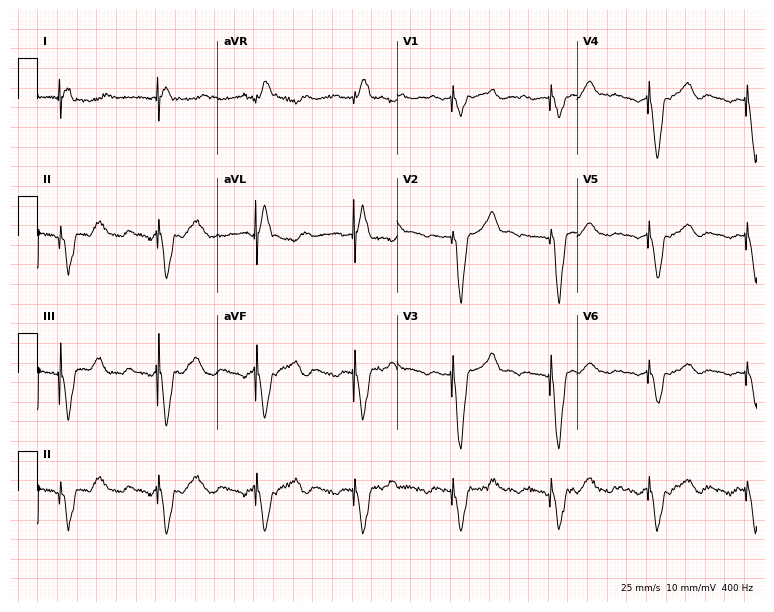
12-lead ECG from a male, 83 years old. Screened for six findings — first-degree AV block, right bundle branch block, left bundle branch block, sinus bradycardia, atrial fibrillation, sinus tachycardia — none is recorded. Other findings, if any, are not listed.